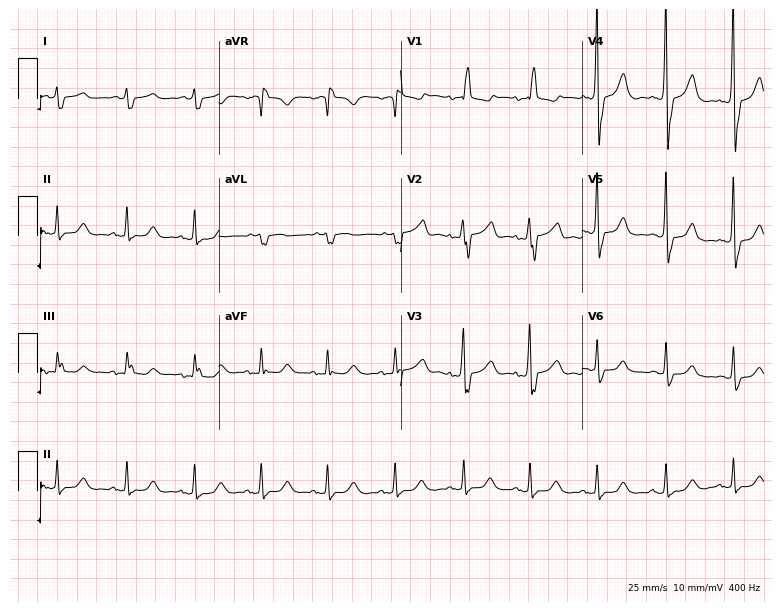
12-lead ECG (7.4-second recording at 400 Hz) from a woman, 76 years old. Findings include right bundle branch block.